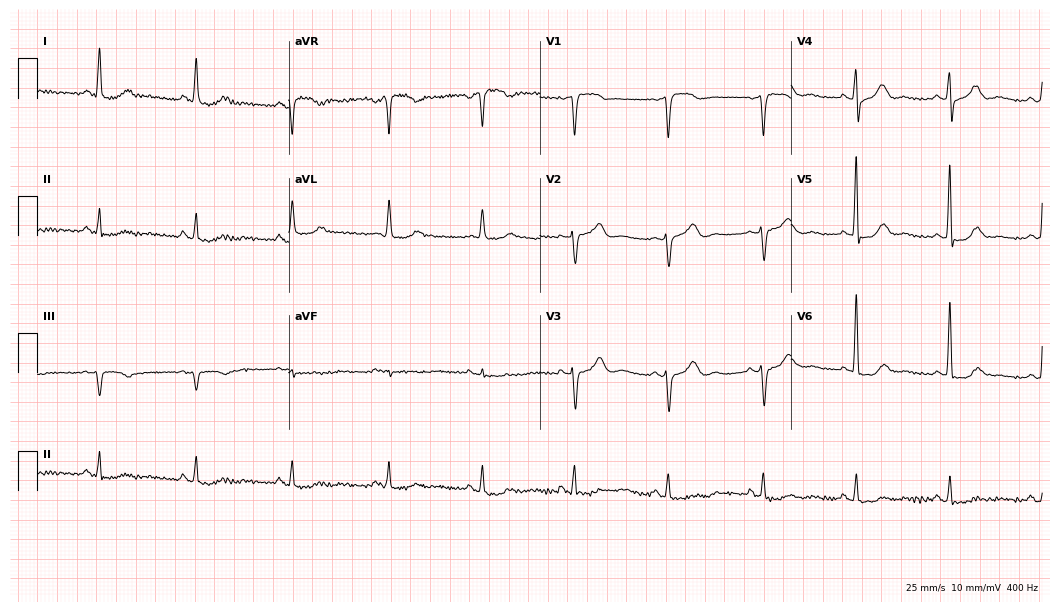
Resting 12-lead electrocardiogram (10.2-second recording at 400 Hz). Patient: a 69-year-old female. Read as a normal ECG.